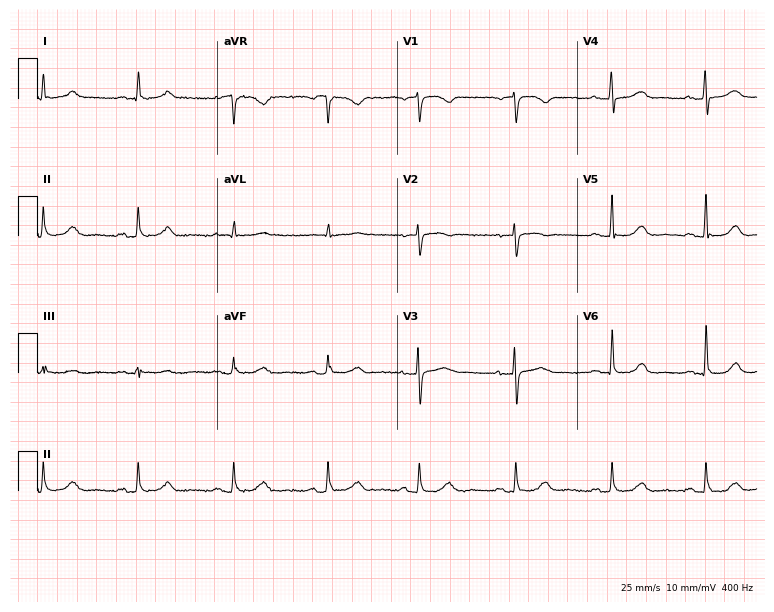
12-lead ECG from a woman, 71 years old. Labelled as a normal ECG.